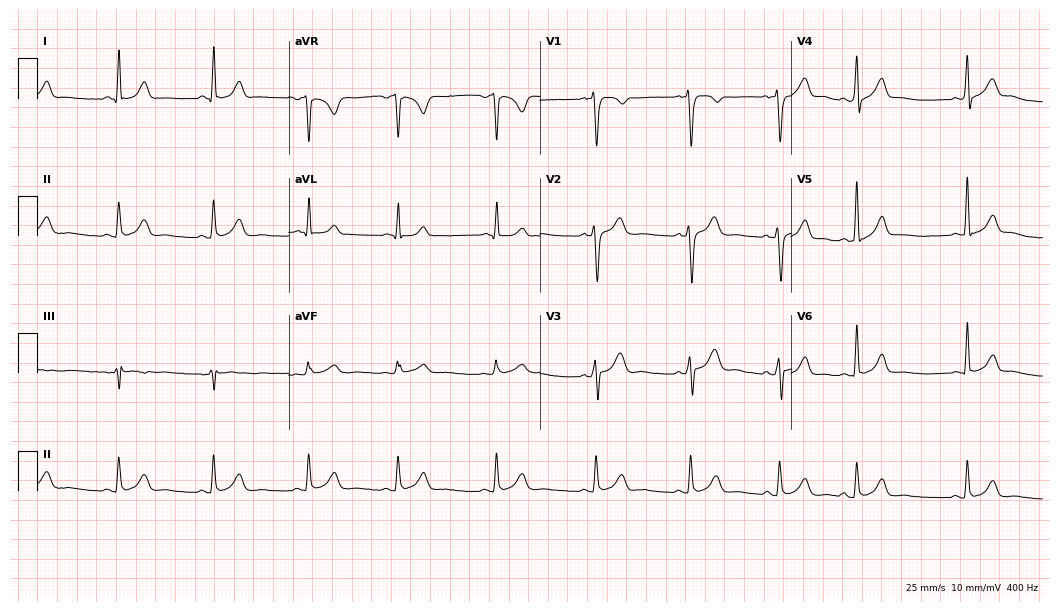
12-lead ECG (10.2-second recording at 400 Hz) from a male patient, 20 years old. Labelled as a normal ECG.